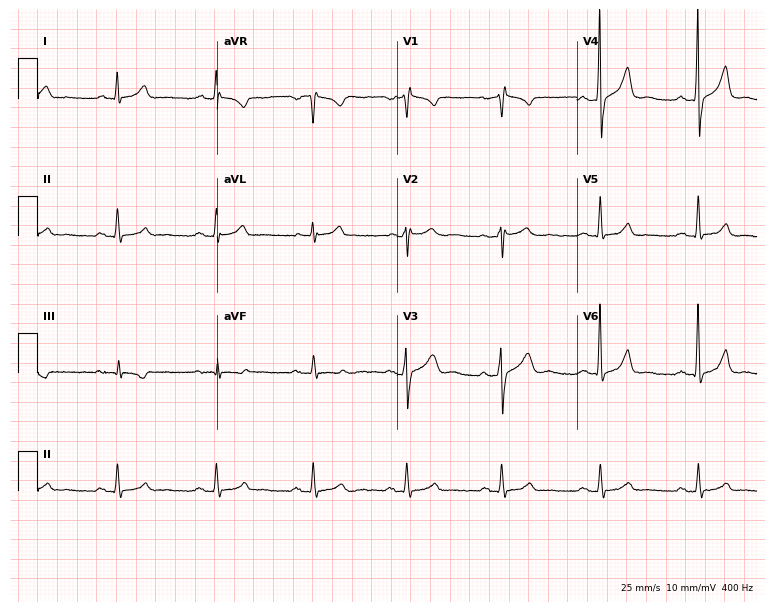
ECG (7.3-second recording at 400 Hz) — a male patient, 45 years old. Screened for six findings — first-degree AV block, right bundle branch block, left bundle branch block, sinus bradycardia, atrial fibrillation, sinus tachycardia — none is recorded.